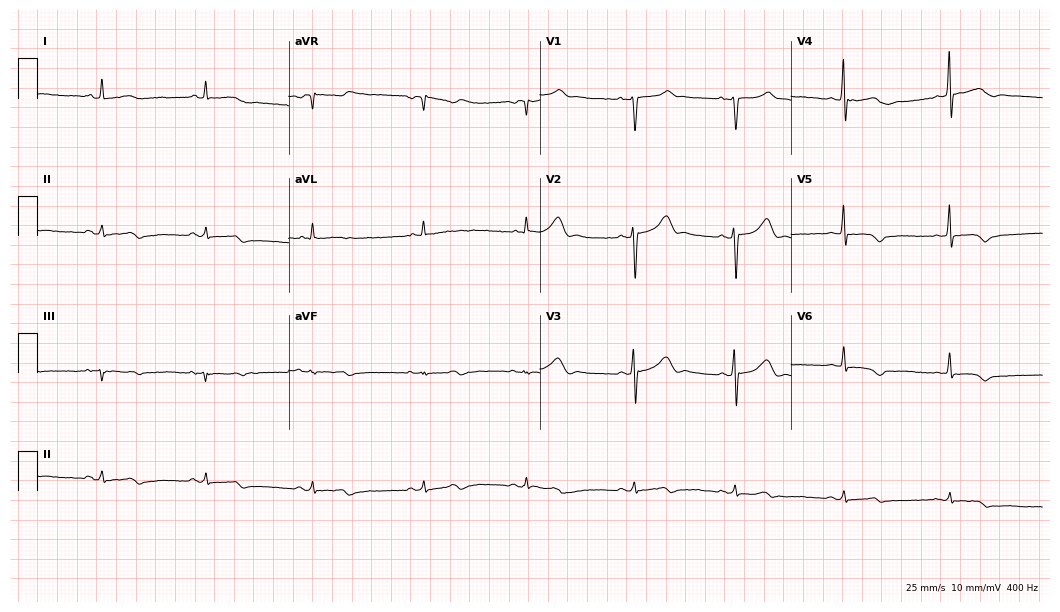
12-lead ECG from a woman, 39 years old. Screened for six findings — first-degree AV block, right bundle branch block, left bundle branch block, sinus bradycardia, atrial fibrillation, sinus tachycardia — none is recorded.